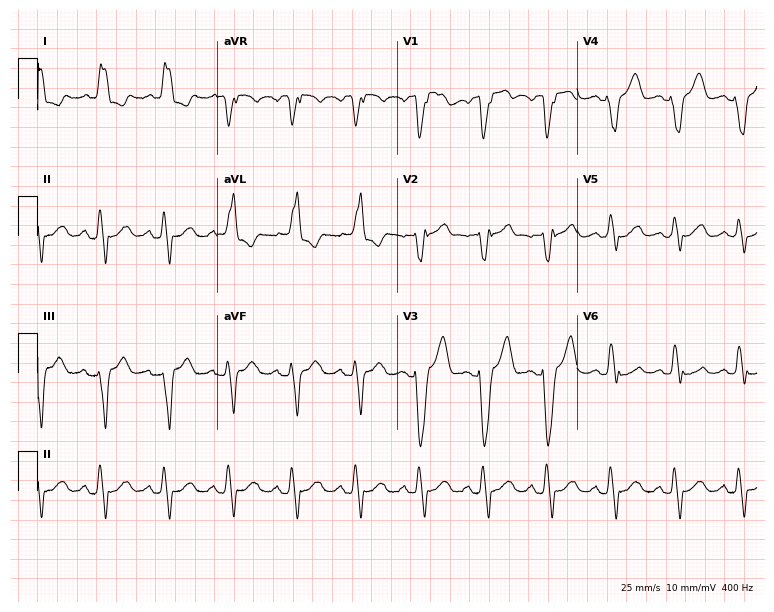
Standard 12-lead ECG recorded from a female, 53 years old. The tracing shows left bundle branch block.